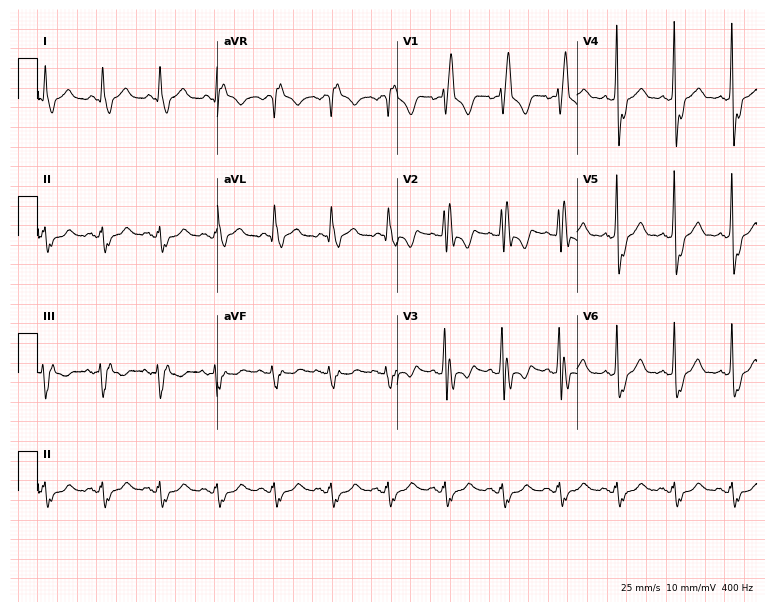
ECG — a 72-year-old male. Findings include right bundle branch block (RBBB).